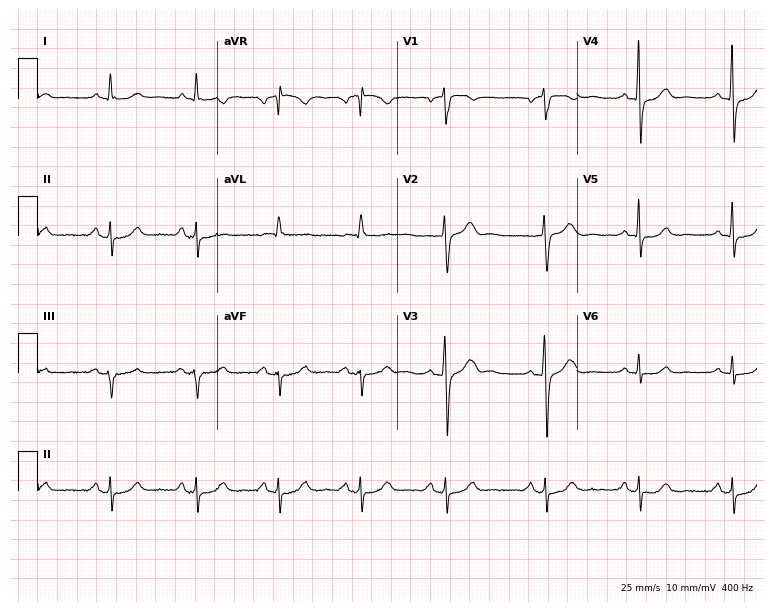
12-lead ECG from a 65-year-old male patient. Screened for six findings — first-degree AV block, right bundle branch block, left bundle branch block, sinus bradycardia, atrial fibrillation, sinus tachycardia — none is recorded. Findings outside these six are not listed.